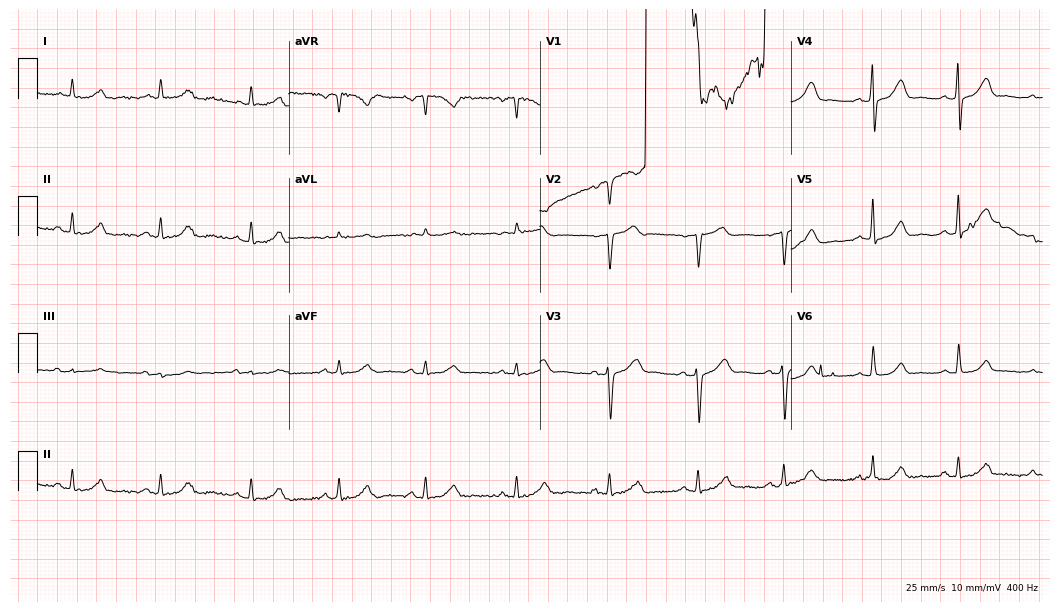
12-lead ECG (10.2-second recording at 400 Hz) from a 62-year-old male. Screened for six findings — first-degree AV block, right bundle branch block, left bundle branch block, sinus bradycardia, atrial fibrillation, sinus tachycardia — none is recorded.